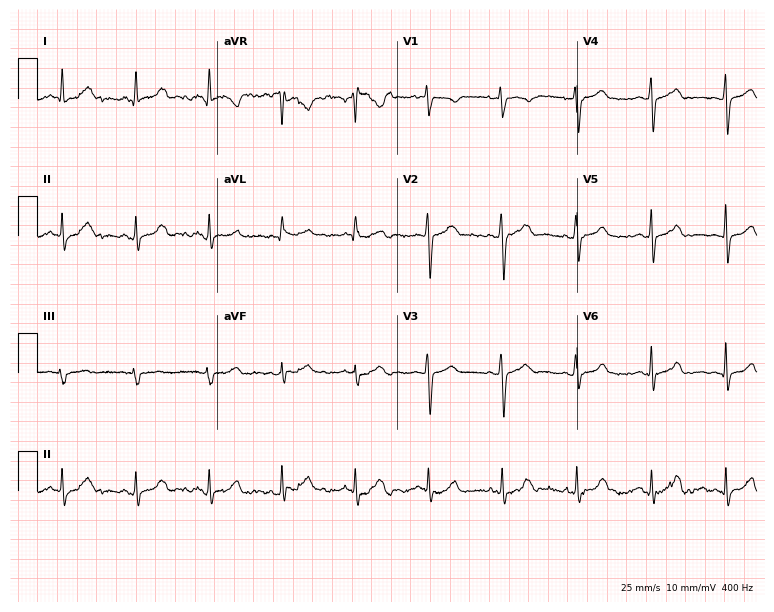
12-lead ECG from a woman, 46 years old. Screened for six findings — first-degree AV block, right bundle branch block, left bundle branch block, sinus bradycardia, atrial fibrillation, sinus tachycardia — none is recorded. Findings outside these six are not listed.